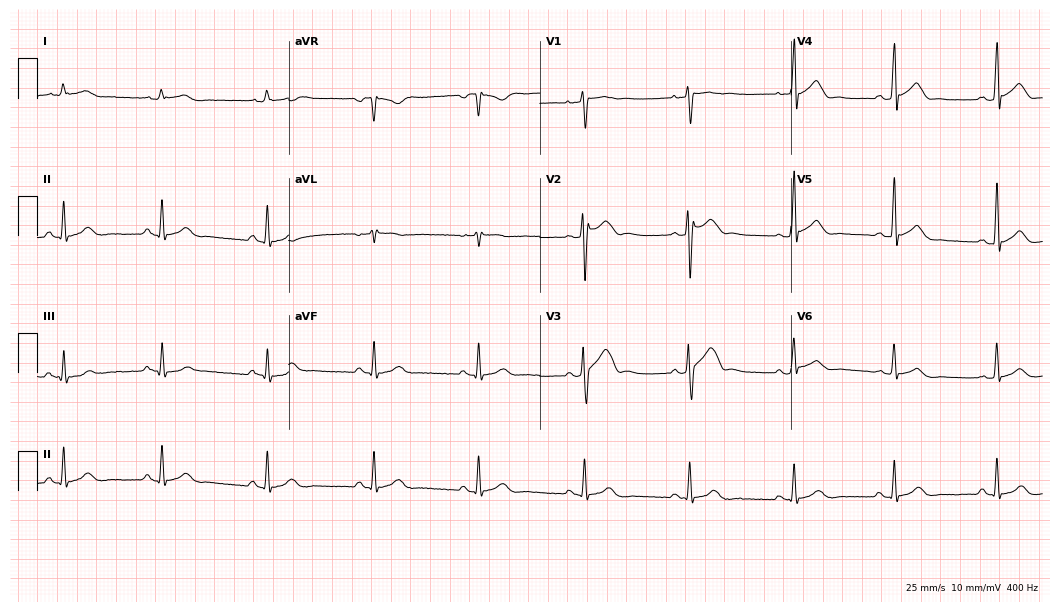
12-lead ECG from a man, 44 years old. Recorded interpretation: within normal limits.